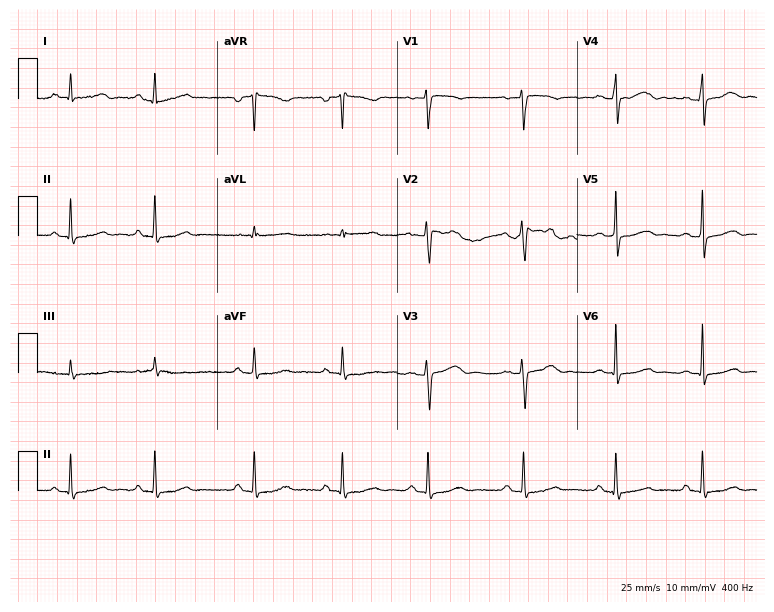
12-lead ECG from a 39-year-old female patient (7.3-second recording at 400 Hz). Recorded interpretation: within normal limits.